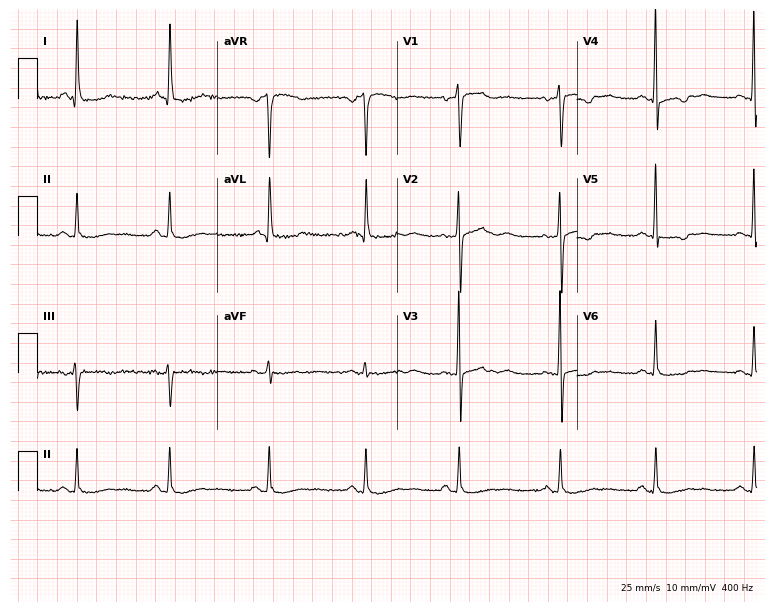
Electrocardiogram, a 76-year-old woman. Of the six screened findings (first-degree AV block, right bundle branch block, left bundle branch block, sinus bradycardia, atrial fibrillation, sinus tachycardia), none is recorded.